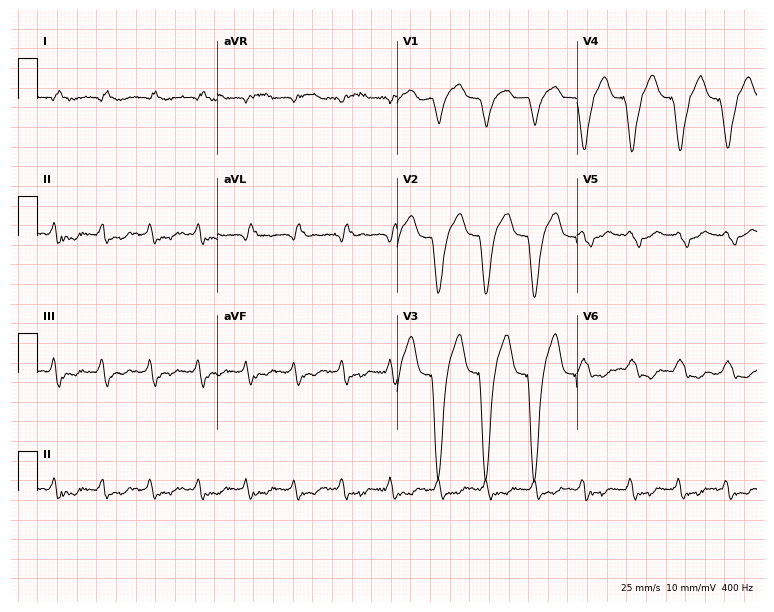
12-lead ECG from a male patient, 67 years old. Screened for six findings — first-degree AV block, right bundle branch block (RBBB), left bundle branch block (LBBB), sinus bradycardia, atrial fibrillation (AF), sinus tachycardia — none is recorded. Only these six findings were labelled.